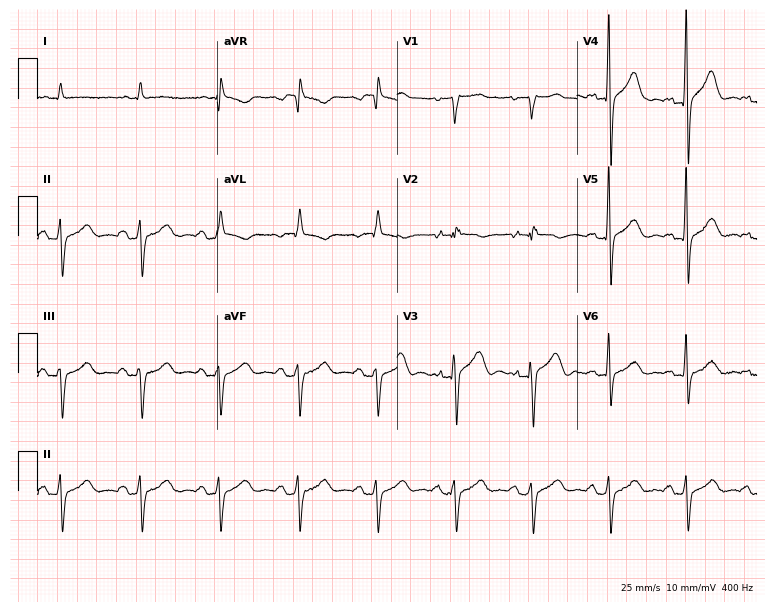
Resting 12-lead electrocardiogram. Patient: a female, 64 years old. None of these six findings is recorded: first-degree AV block, right bundle branch block, left bundle branch block, sinus bradycardia, atrial fibrillation, sinus tachycardia.